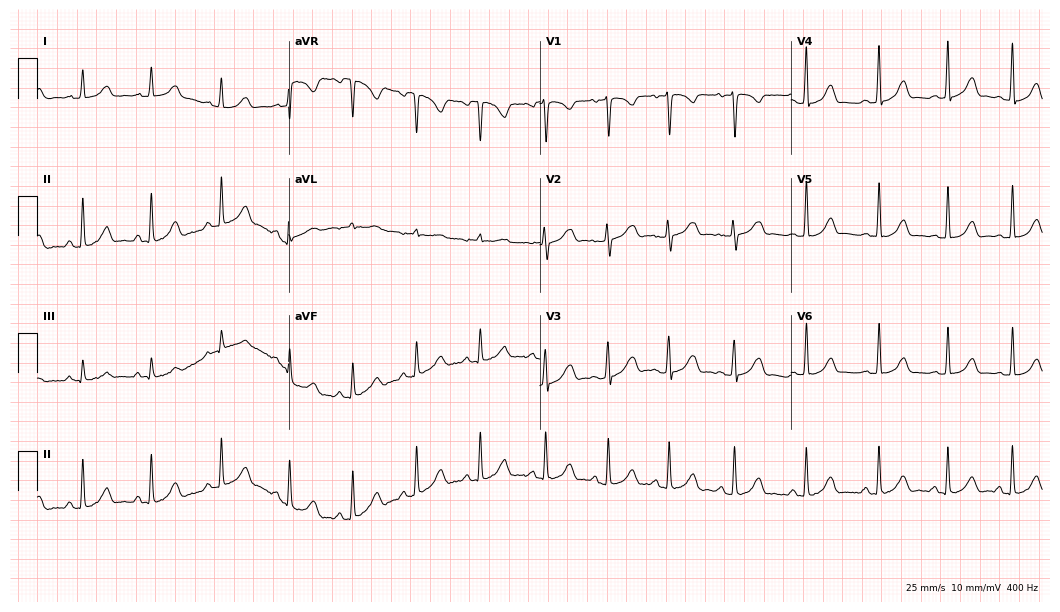
ECG — a 20-year-old female patient. Labelled as a normal ECG.